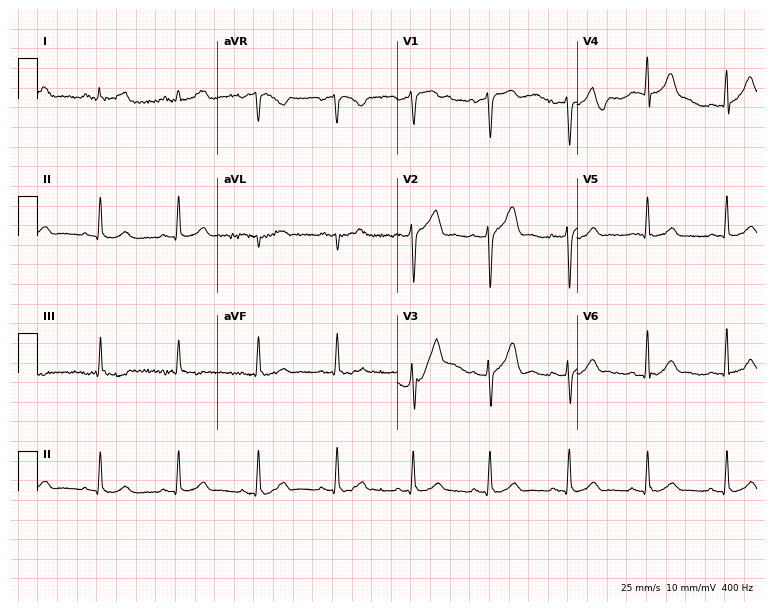
12-lead ECG (7.3-second recording at 400 Hz) from a 50-year-old man. Labelled as a normal ECG.